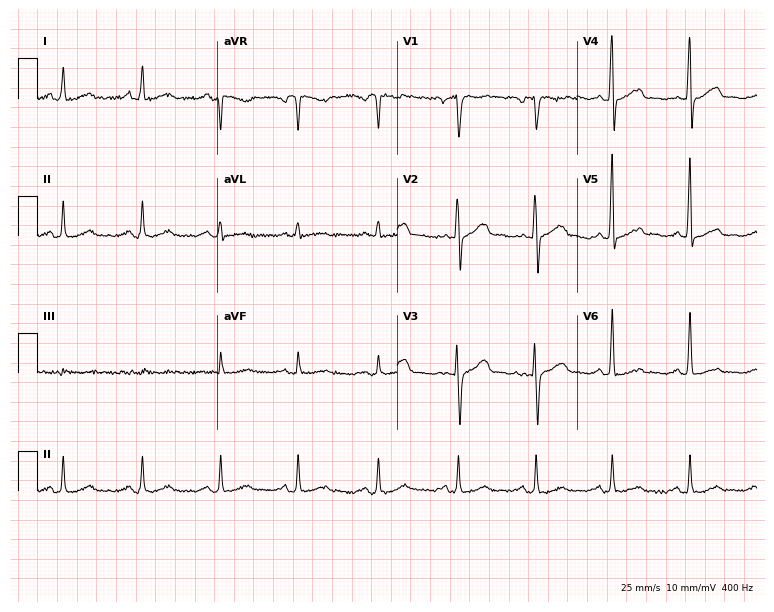
Electrocardiogram, a male patient, 52 years old. Overall reading on record: normal ECG.